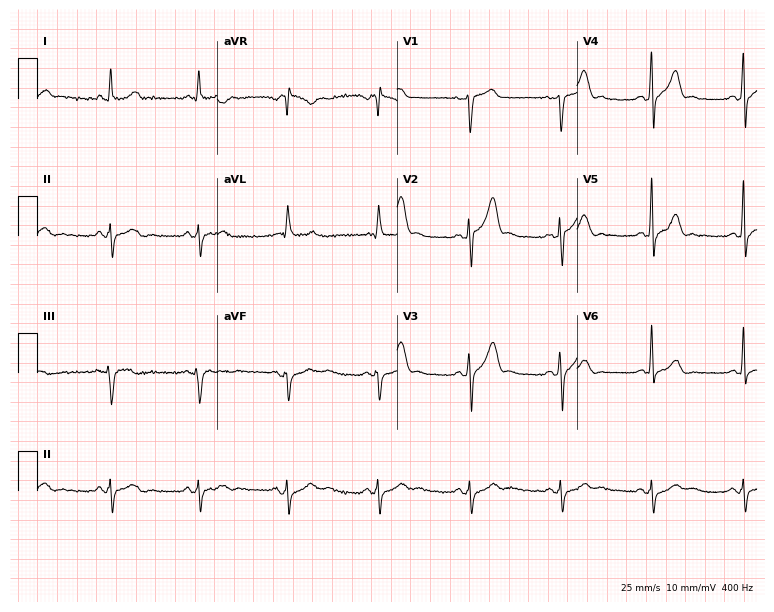
Standard 12-lead ECG recorded from a male, 57 years old. None of these six findings is recorded: first-degree AV block, right bundle branch block, left bundle branch block, sinus bradycardia, atrial fibrillation, sinus tachycardia.